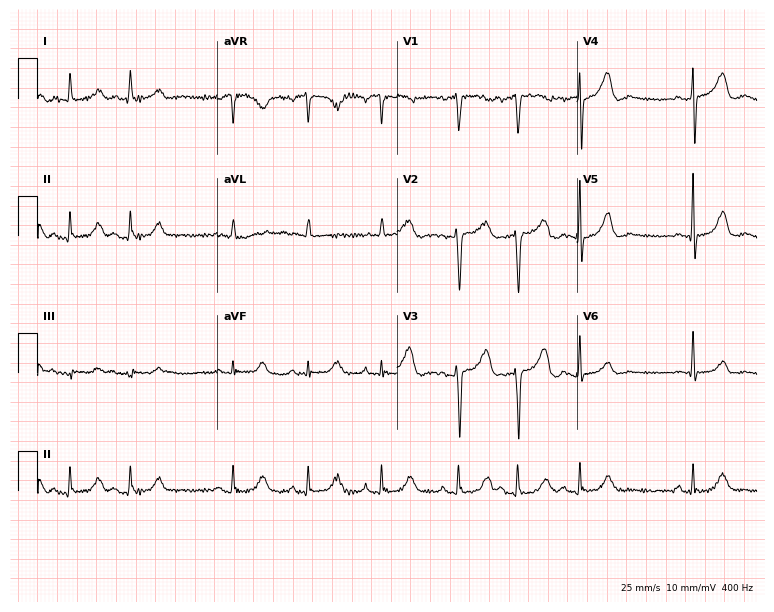
Electrocardiogram (7.3-second recording at 400 Hz), a woman, 72 years old. Of the six screened findings (first-degree AV block, right bundle branch block, left bundle branch block, sinus bradycardia, atrial fibrillation, sinus tachycardia), none is recorded. Only these six findings were labelled.